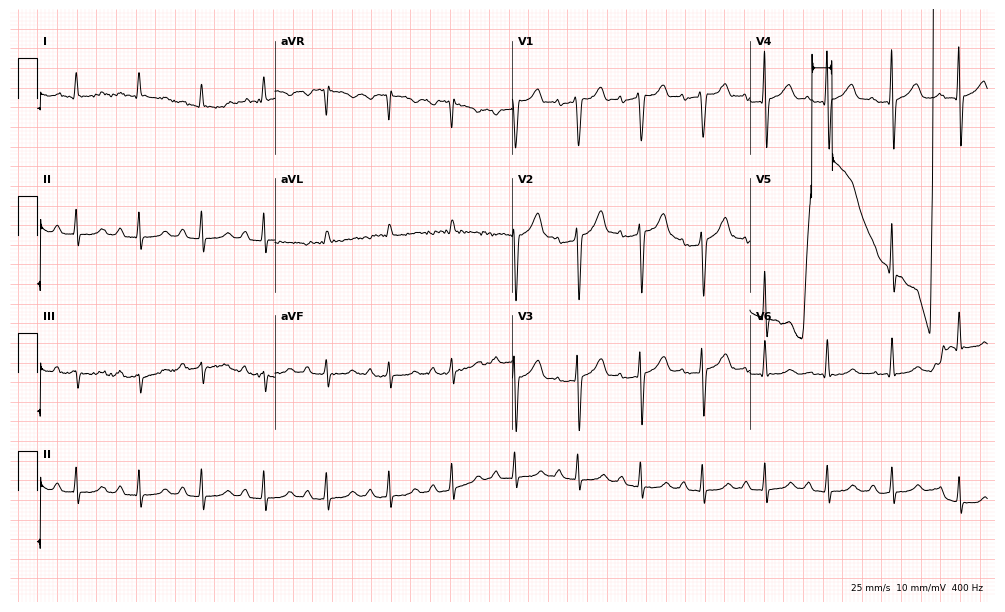
12-lead ECG from a man, 61 years old (9.7-second recording at 400 Hz). Shows first-degree AV block.